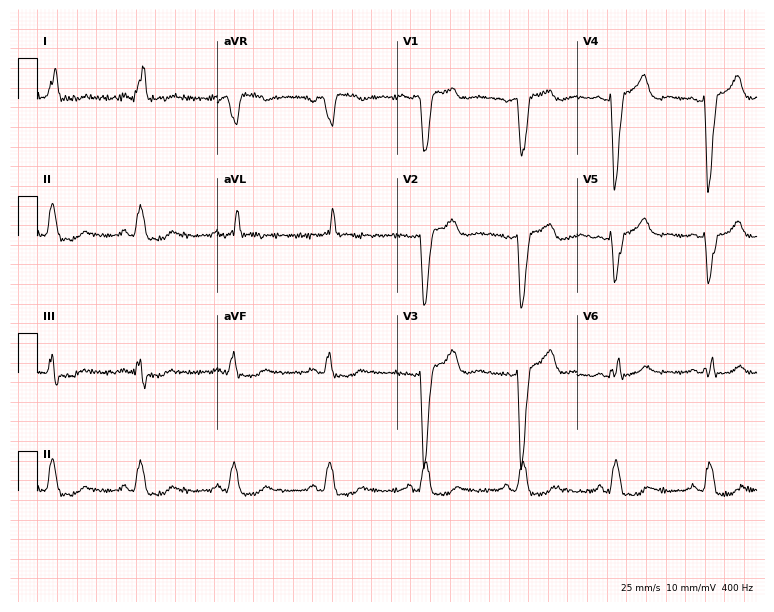
12-lead ECG from a female, 54 years old (7.3-second recording at 400 Hz). Shows left bundle branch block (LBBB).